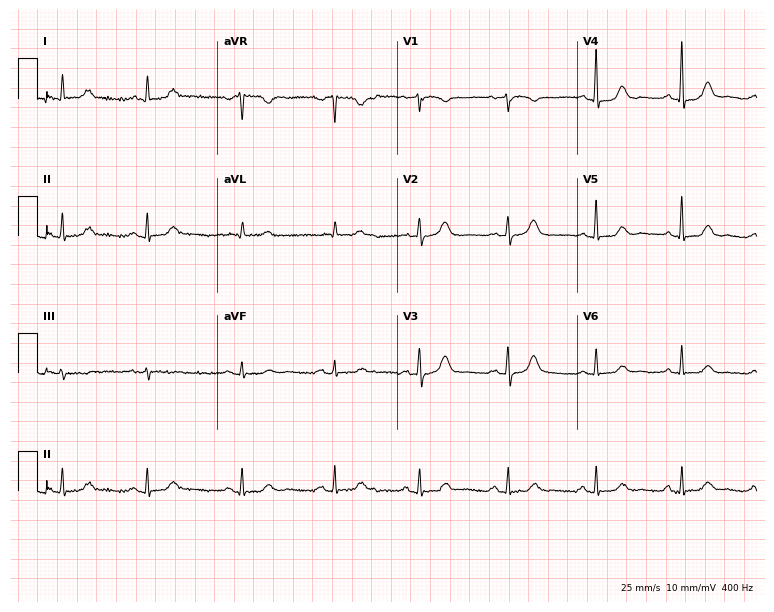
Resting 12-lead electrocardiogram (7.3-second recording at 400 Hz). Patient: a female, 80 years old. Read as a normal ECG.